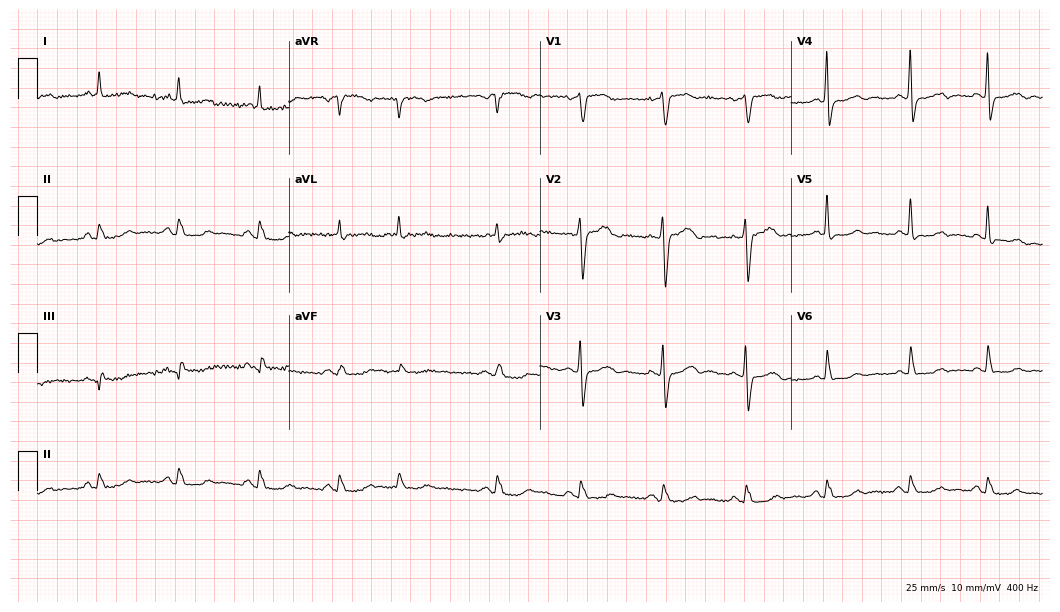
Standard 12-lead ECG recorded from a 71-year-old male. None of these six findings is recorded: first-degree AV block, right bundle branch block, left bundle branch block, sinus bradycardia, atrial fibrillation, sinus tachycardia. Only these six findings were labelled.